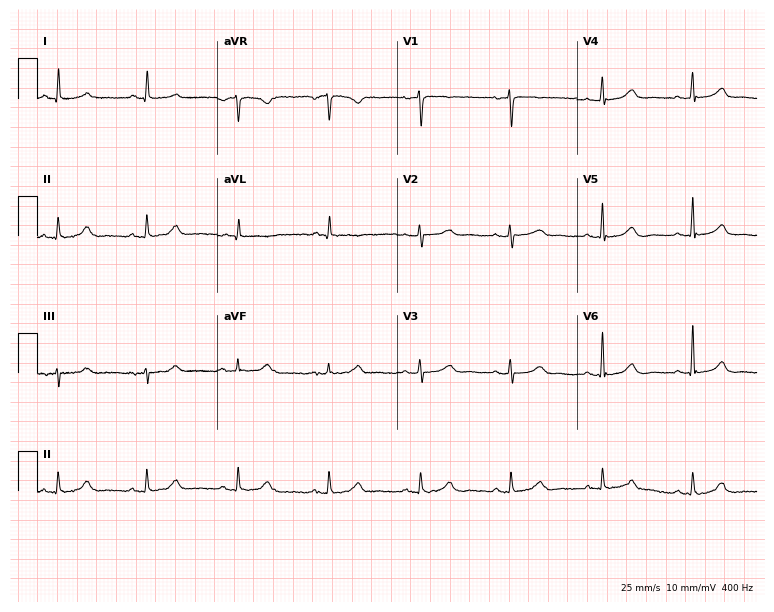
ECG (7.3-second recording at 400 Hz) — a 58-year-old female. Screened for six findings — first-degree AV block, right bundle branch block, left bundle branch block, sinus bradycardia, atrial fibrillation, sinus tachycardia — none is recorded.